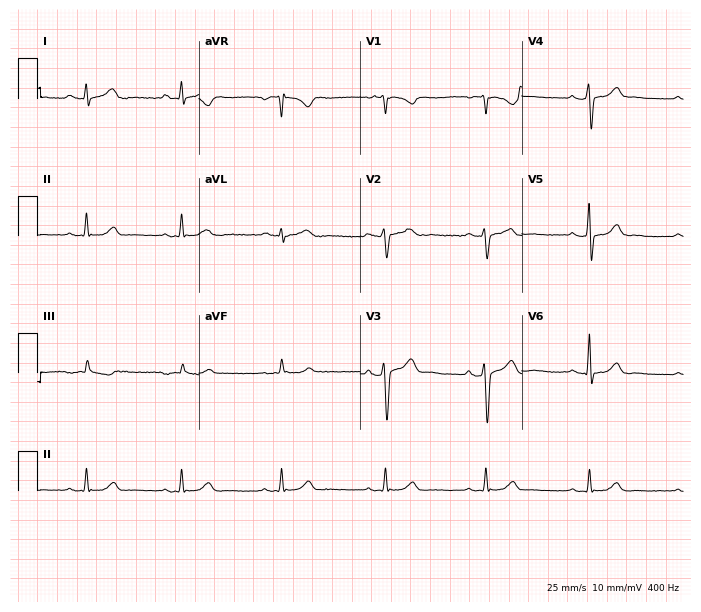
12-lead ECG from a male, 43 years old (6.6-second recording at 400 Hz). Recorded interpretation: within normal limits.